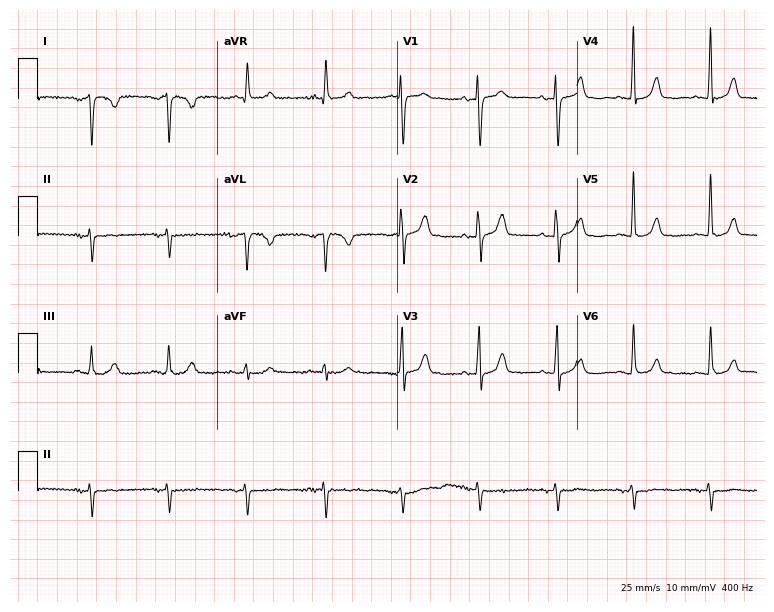
12-lead ECG from a 66-year-old woman. No first-degree AV block, right bundle branch block (RBBB), left bundle branch block (LBBB), sinus bradycardia, atrial fibrillation (AF) or sinus tachycardia recorded for this tracing.